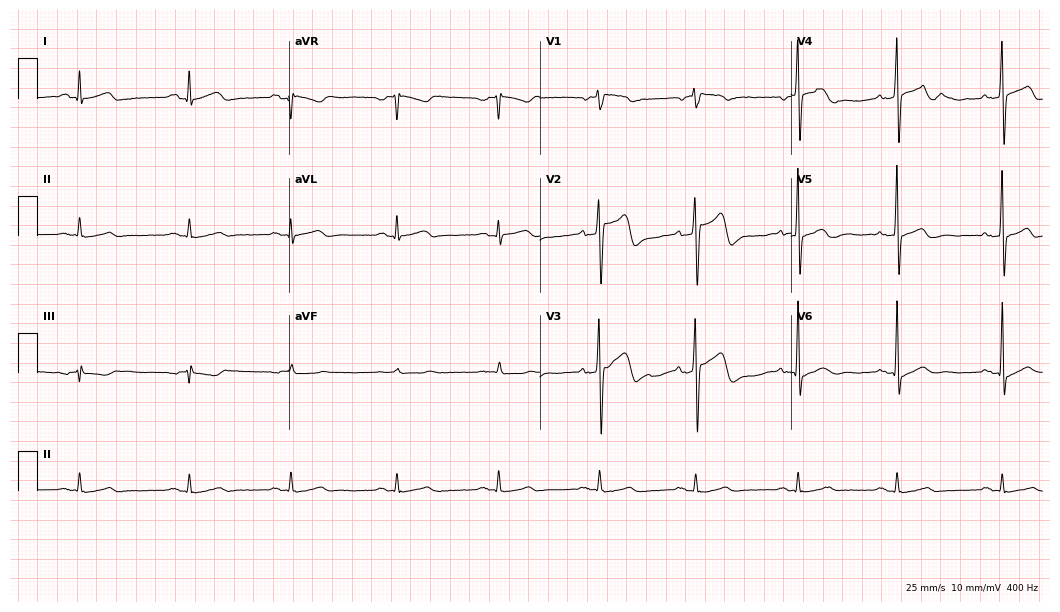
Standard 12-lead ECG recorded from a male, 44 years old (10.2-second recording at 400 Hz). None of these six findings is recorded: first-degree AV block, right bundle branch block (RBBB), left bundle branch block (LBBB), sinus bradycardia, atrial fibrillation (AF), sinus tachycardia. Only these six findings were labelled.